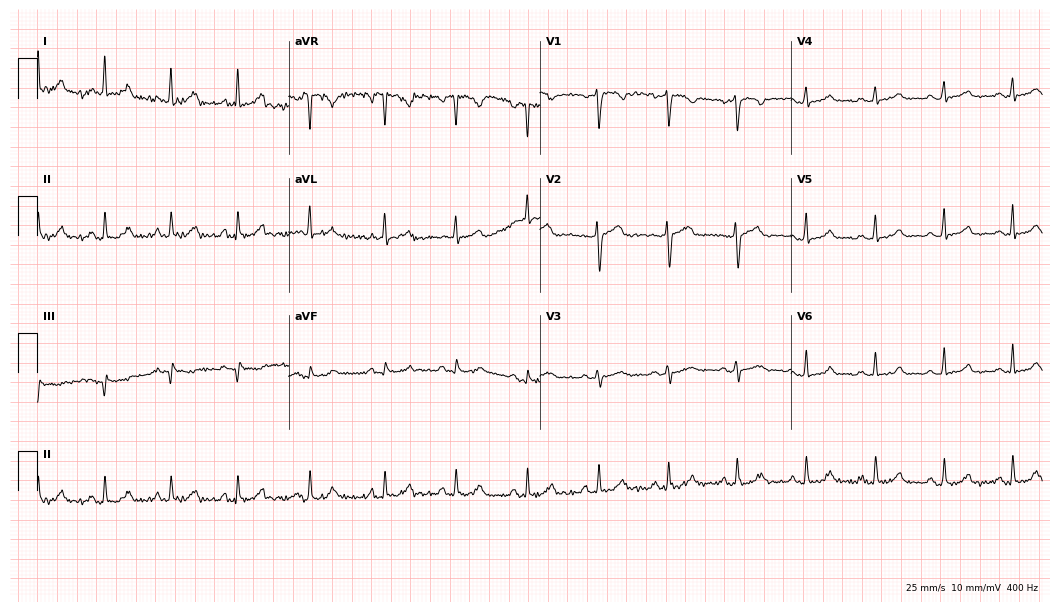
Electrocardiogram (10.2-second recording at 400 Hz), a female, 56 years old. Overall reading on record: normal ECG.